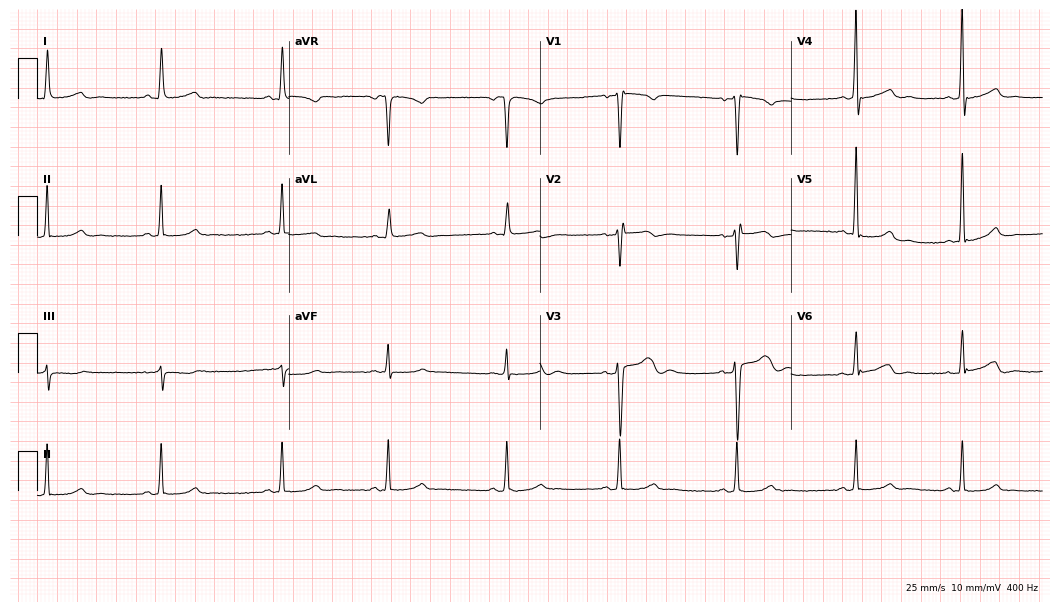
Electrocardiogram (10.2-second recording at 400 Hz), a female patient, 35 years old. Of the six screened findings (first-degree AV block, right bundle branch block (RBBB), left bundle branch block (LBBB), sinus bradycardia, atrial fibrillation (AF), sinus tachycardia), none is recorded. Findings outside these six are not listed.